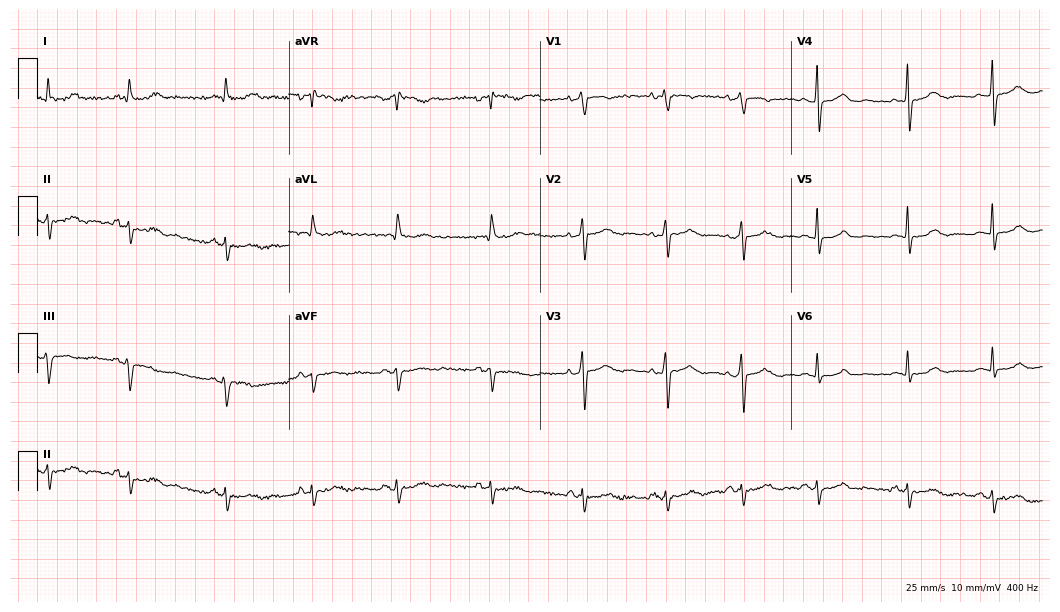
12-lead ECG (10.2-second recording at 400 Hz) from a 38-year-old woman. Screened for six findings — first-degree AV block, right bundle branch block, left bundle branch block, sinus bradycardia, atrial fibrillation, sinus tachycardia — none is recorded.